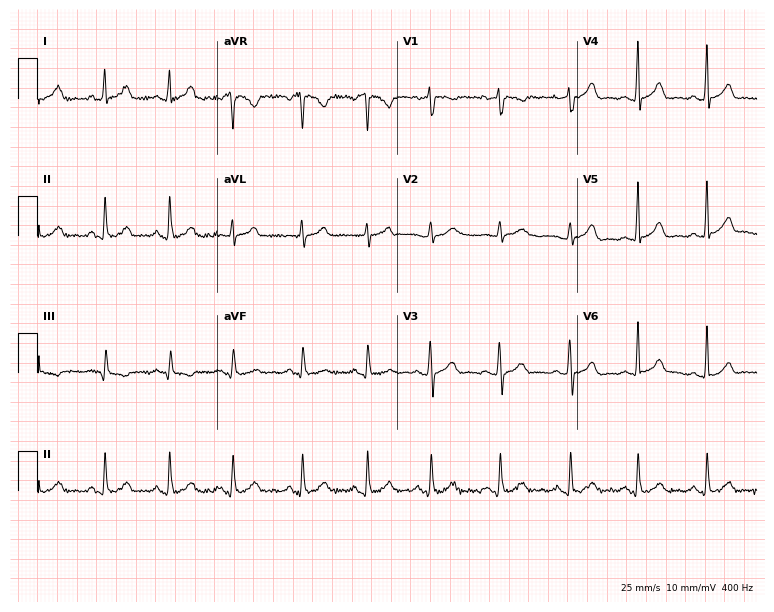
12-lead ECG from a 24-year-old woman. Recorded interpretation: within normal limits.